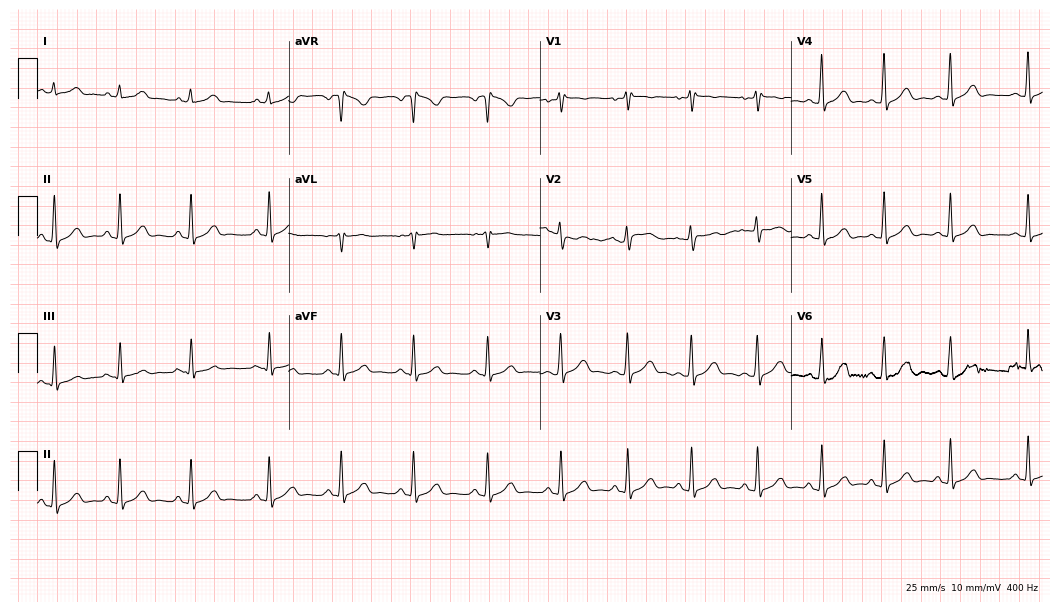
ECG (10.2-second recording at 400 Hz) — a woman, 29 years old. Screened for six findings — first-degree AV block, right bundle branch block, left bundle branch block, sinus bradycardia, atrial fibrillation, sinus tachycardia — none is recorded.